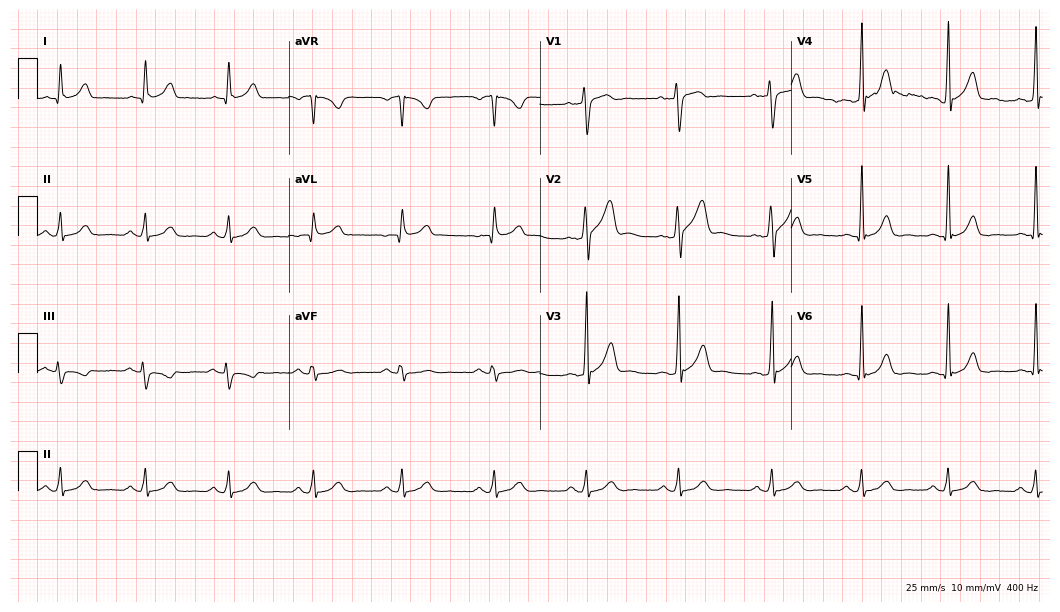
ECG (10.2-second recording at 400 Hz) — a man, 36 years old. Labelled as a normal ECG.